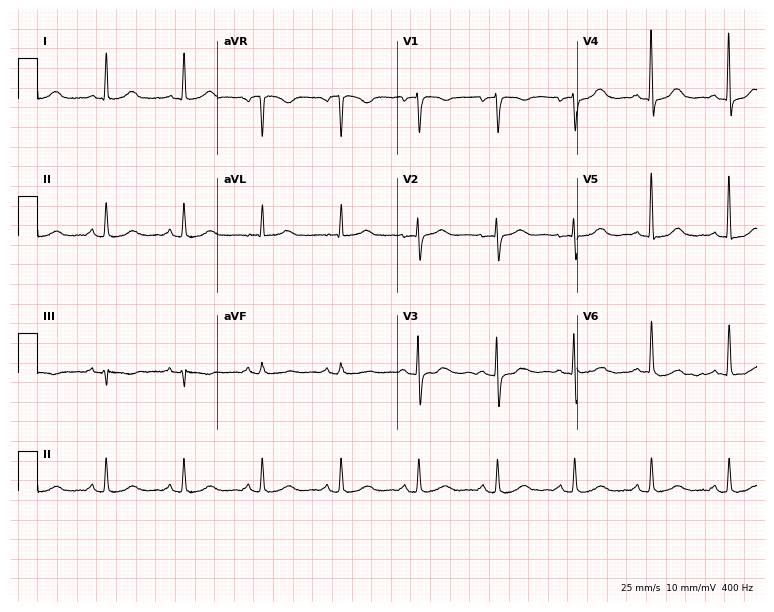
Resting 12-lead electrocardiogram (7.3-second recording at 400 Hz). Patient: a female, 58 years old. None of these six findings is recorded: first-degree AV block, right bundle branch block, left bundle branch block, sinus bradycardia, atrial fibrillation, sinus tachycardia.